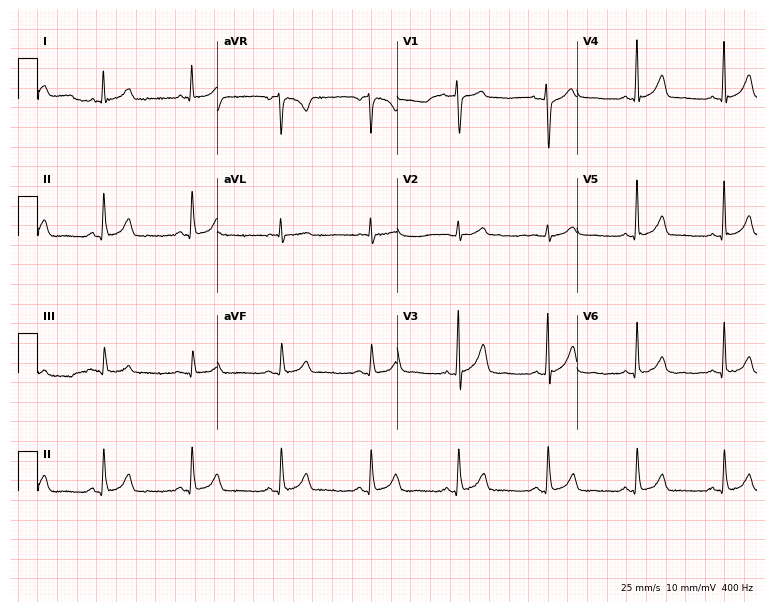
Electrocardiogram, a 39-year-old male. Overall reading on record: normal ECG.